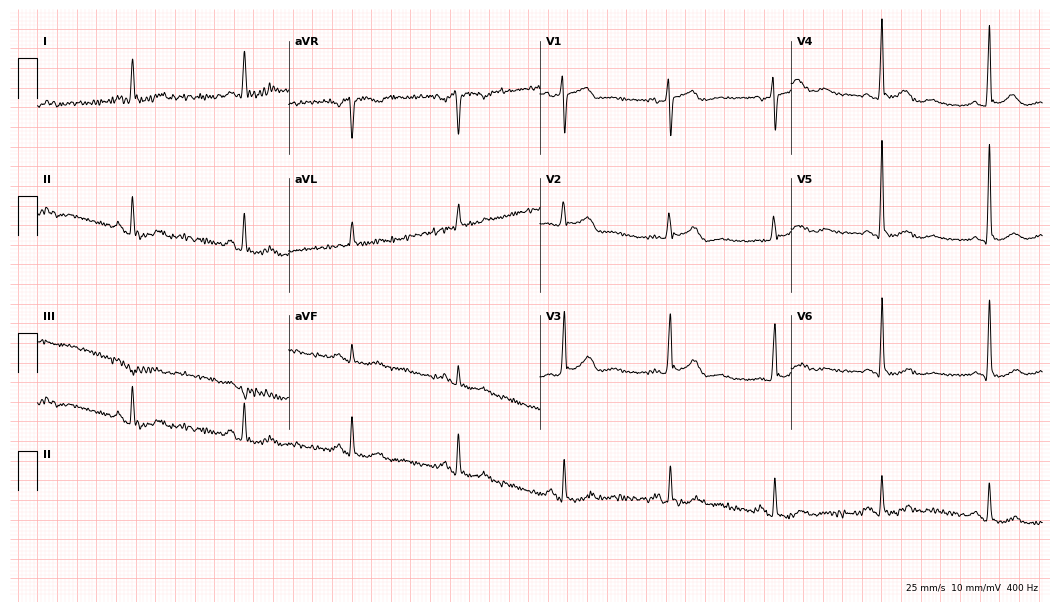
Standard 12-lead ECG recorded from a 69-year-old man. None of these six findings is recorded: first-degree AV block, right bundle branch block (RBBB), left bundle branch block (LBBB), sinus bradycardia, atrial fibrillation (AF), sinus tachycardia. Only these six findings were labelled.